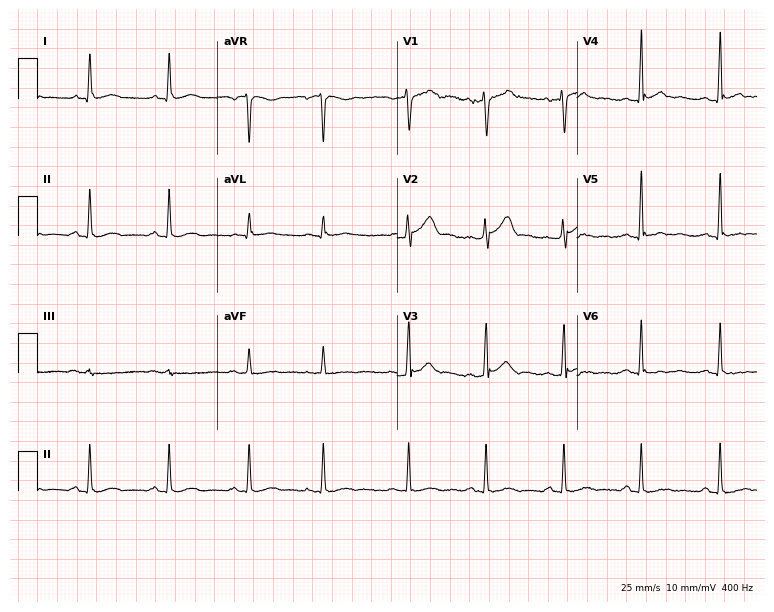
ECG — a male patient, 46 years old. Screened for six findings — first-degree AV block, right bundle branch block, left bundle branch block, sinus bradycardia, atrial fibrillation, sinus tachycardia — none is recorded. Other findings, if any, are not listed.